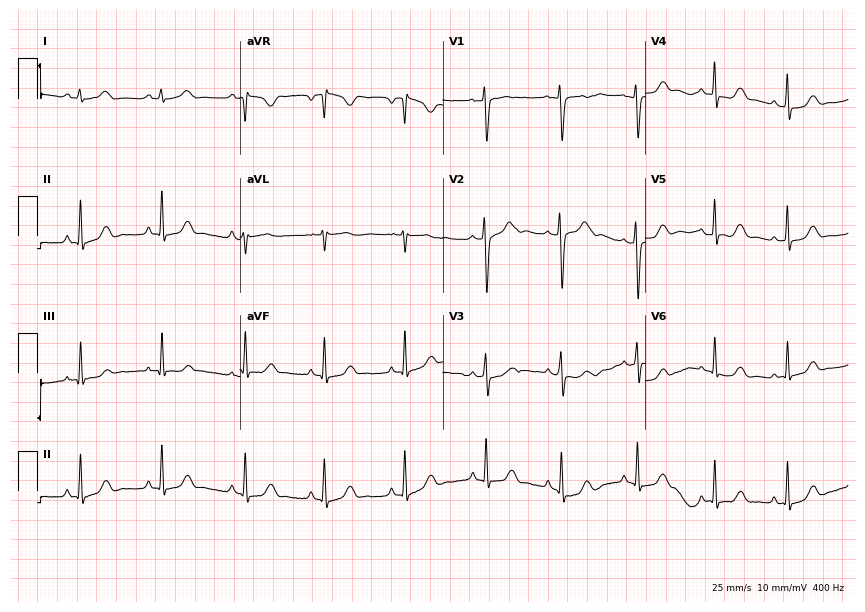
Electrocardiogram, a woman, 23 years old. Overall reading on record: normal ECG.